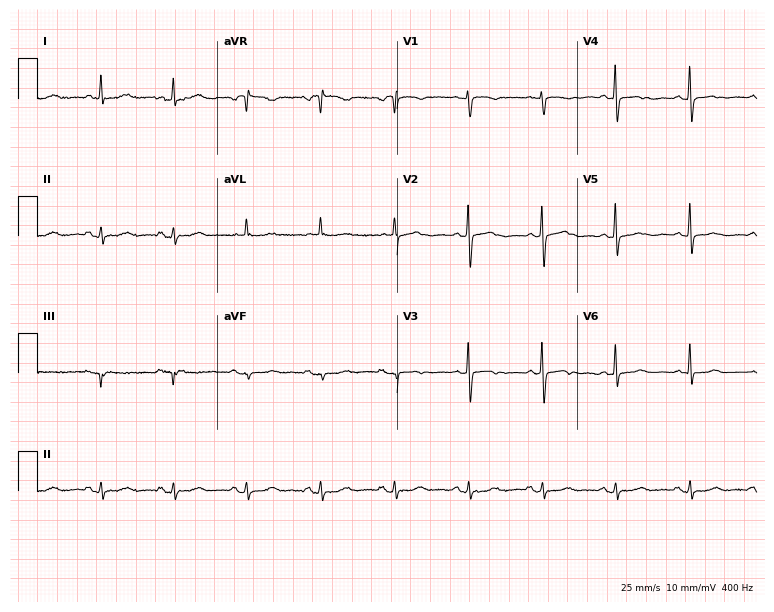
12-lead ECG from a 74-year-old female patient. No first-degree AV block, right bundle branch block, left bundle branch block, sinus bradycardia, atrial fibrillation or sinus tachycardia recorded for this tracing. Other findings, if any, are not listed.